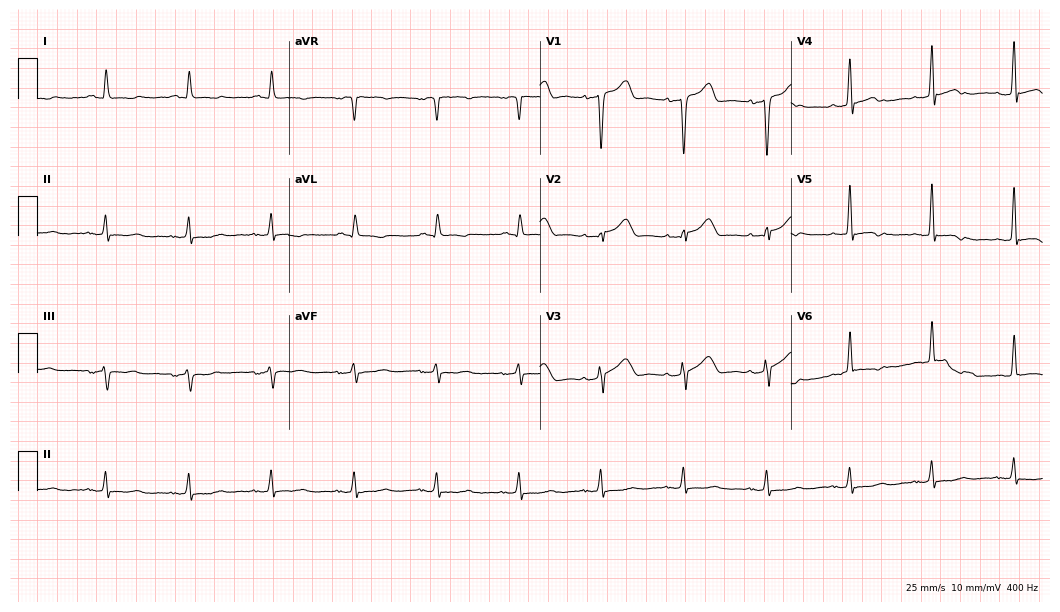
Standard 12-lead ECG recorded from a 64-year-old male patient. None of these six findings is recorded: first-degree AV block, right bundle branch block, left bundle branch block, sinus bradycardia, atrial fibrillation, sinus tachycardia. Findings outside these six are not listed.